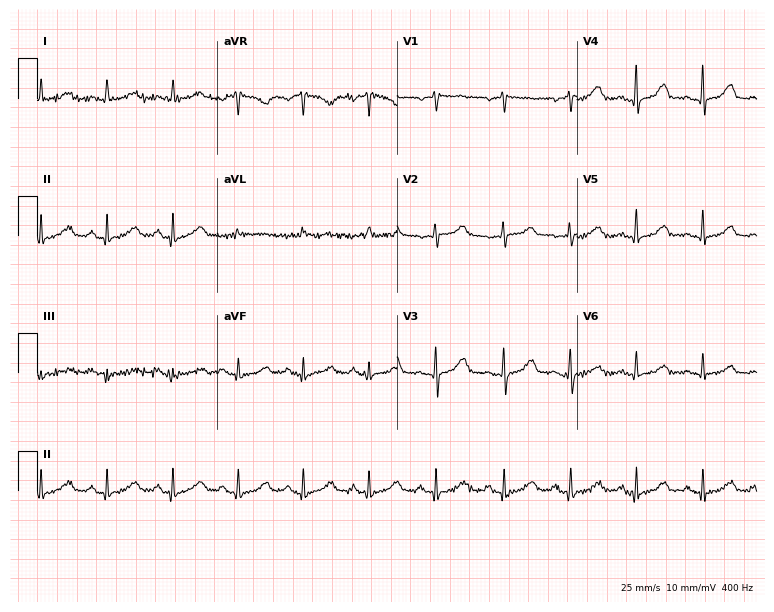
Electrocardiogram, a 58-year-old female patient. Overall reading on record: normal ECG.